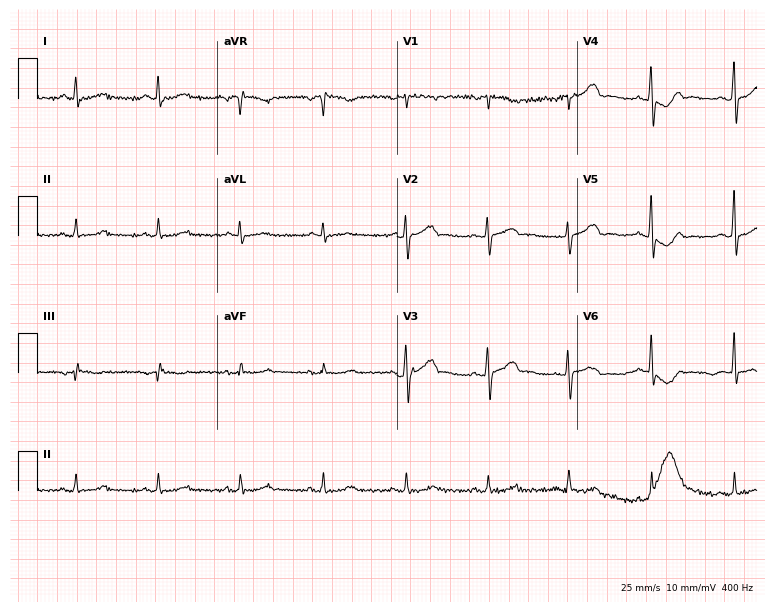
12-lead ECG from a 54-year-old male patient. Labelled as a normal ECG.